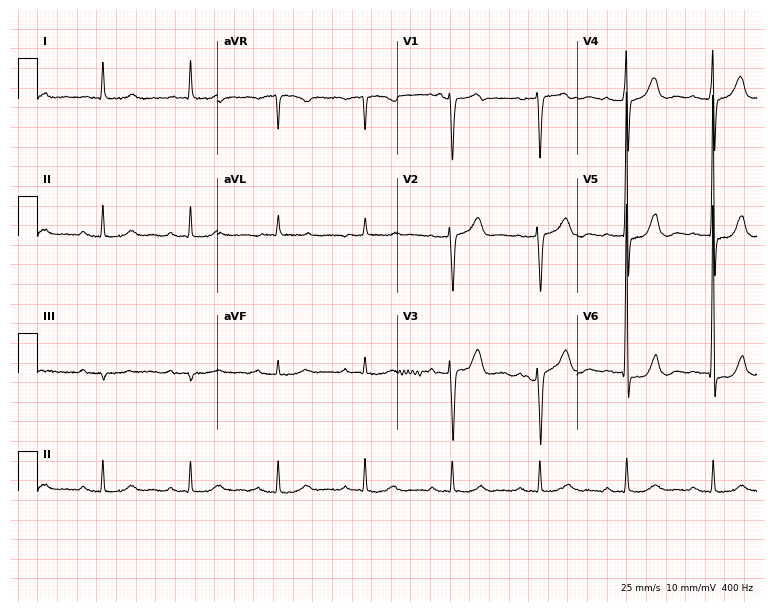
Electrocardiogram, a male, 82 years old. Of the six screened findings (first-degree AV block, right bundle branch block, left bundle branch block, sinus bradycardia, atrial fibrillation, sinus tachycardia), none is recorded. Only these six findings were labelled.